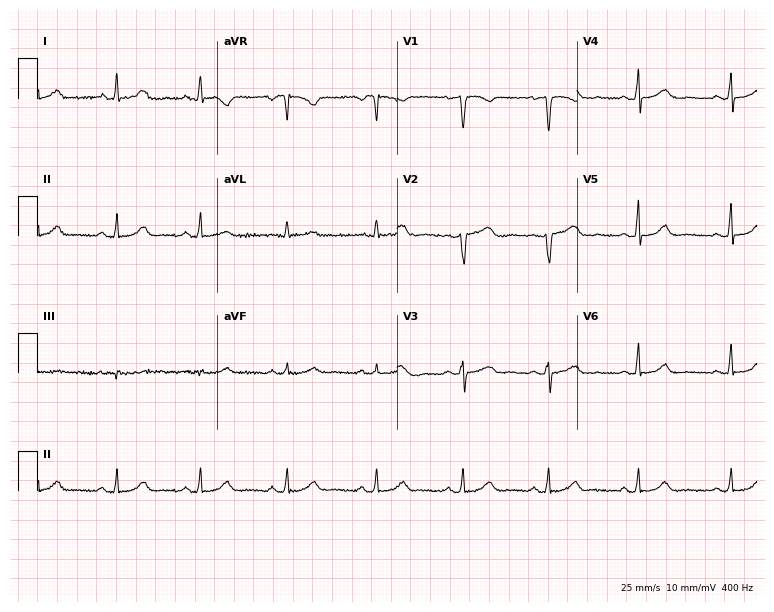
Electrocardiogram, a 46-year-old woman. Overall reading on record: normal ECG.